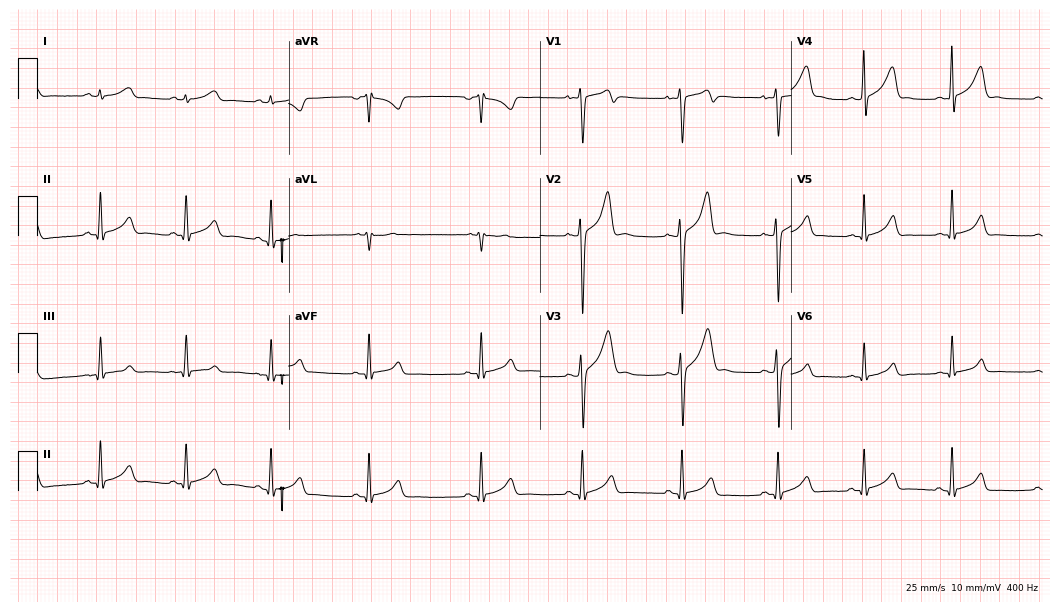
ECG (10.2-second recording at 400 Hz) — a 24-year-old man. Screened for six findings — first-degree AV block, right bundle branch block, left bundle branch block, sinus bradycardia, atrial fibrillation, sinus tachycardia — none is recorded.